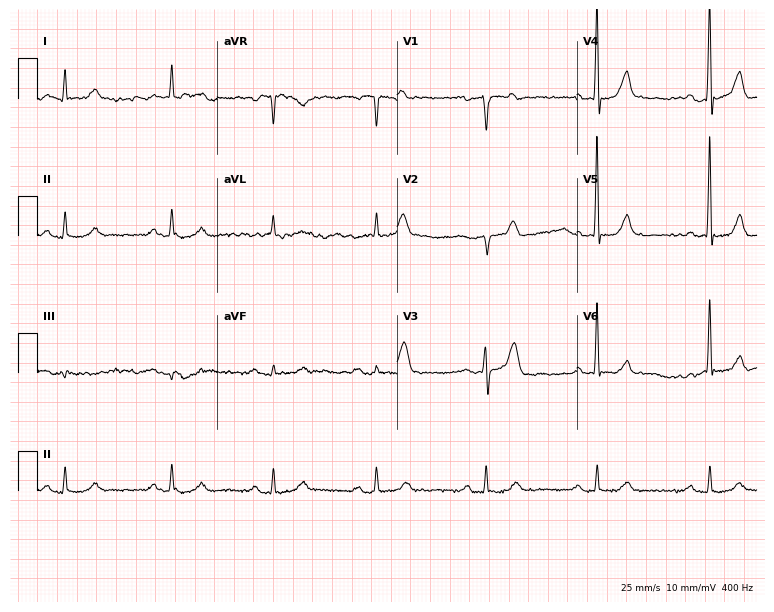
Standard 12-lead ECG recorded from a male, 67 years old. None of these six findings is recorded: first-degree AV block, right bundle branch block, left bundle branch block, sinus bradycardia, atrial fibrillation, sinus tachycardia. Other findings, if any, are not listed.